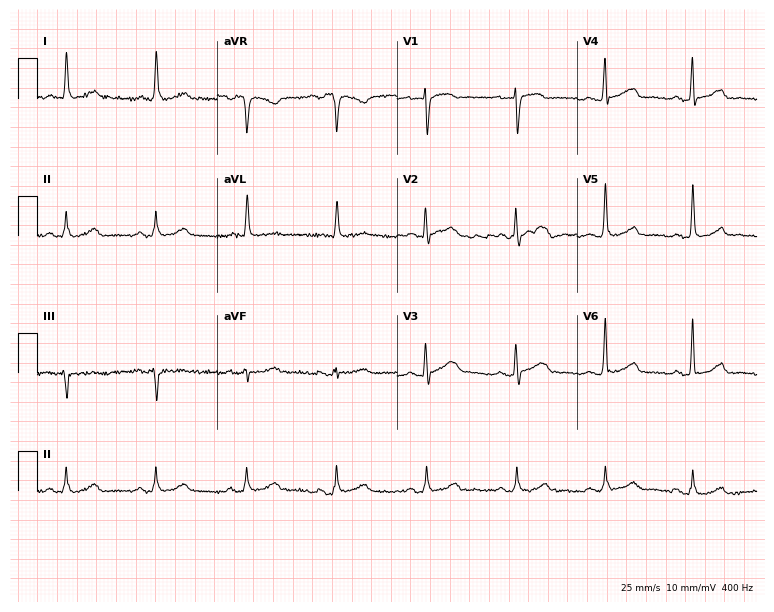
Standard 12-lead ECG recorded from a 68-year-old female (7.3-second recording at 400 Hz). Read as a normal ECG.